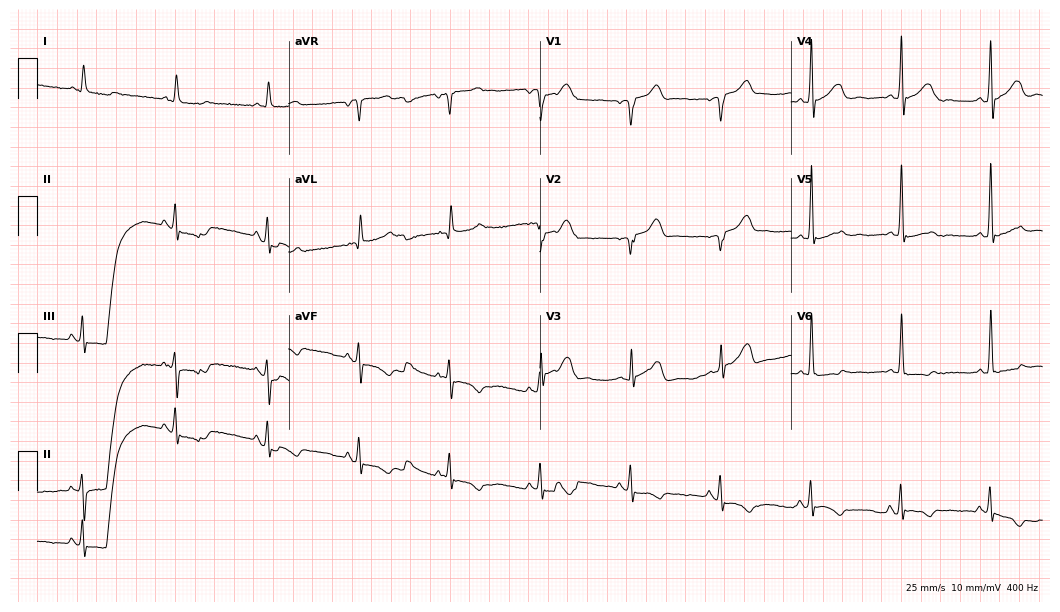
Resting 12-lead electrocardiogram. Patient: a 72-year-old male. None of these six findings is recorded: first-degree AV block, right bundle branch block, left bundle branch block, sinus bradycardia, atrial fibrillation, sinus tachycardia. Only these six findings were labelled.